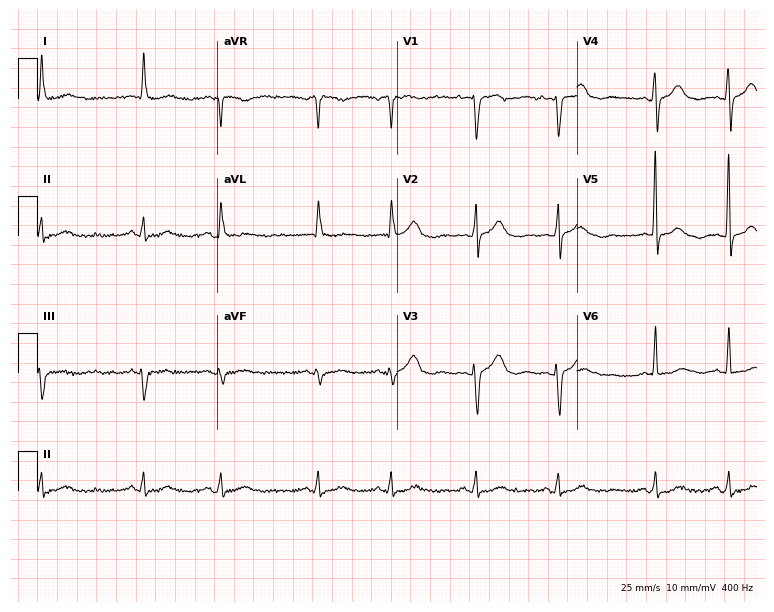
12-lead ECG (7.3-second recording at 400 Hz) from a 66-year-old woman. Screened for six findings — first-degree AV block, right bundle branch block, left bundle branch block, sinus bradycardia, atrial fibrillation, sinus tachycardia — none is recorded.